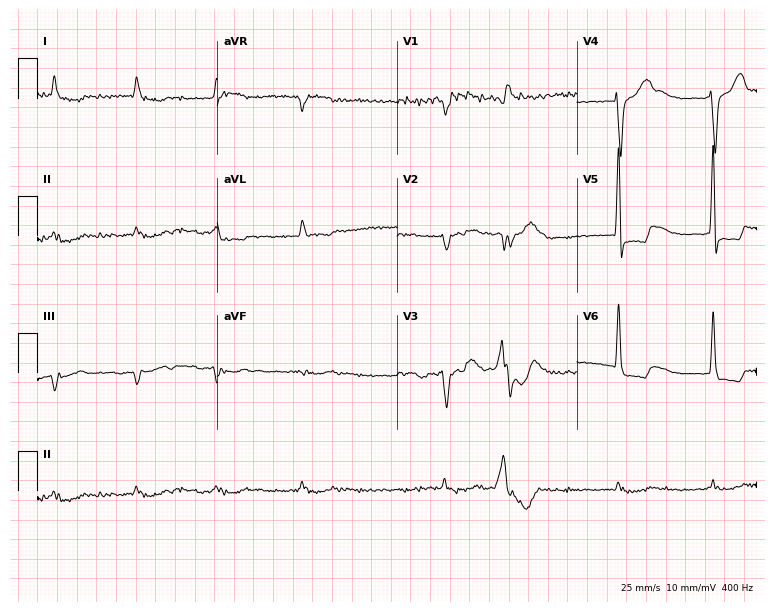
12-lead ECG from an 85-year-old male. Shows atrial fibrillation.